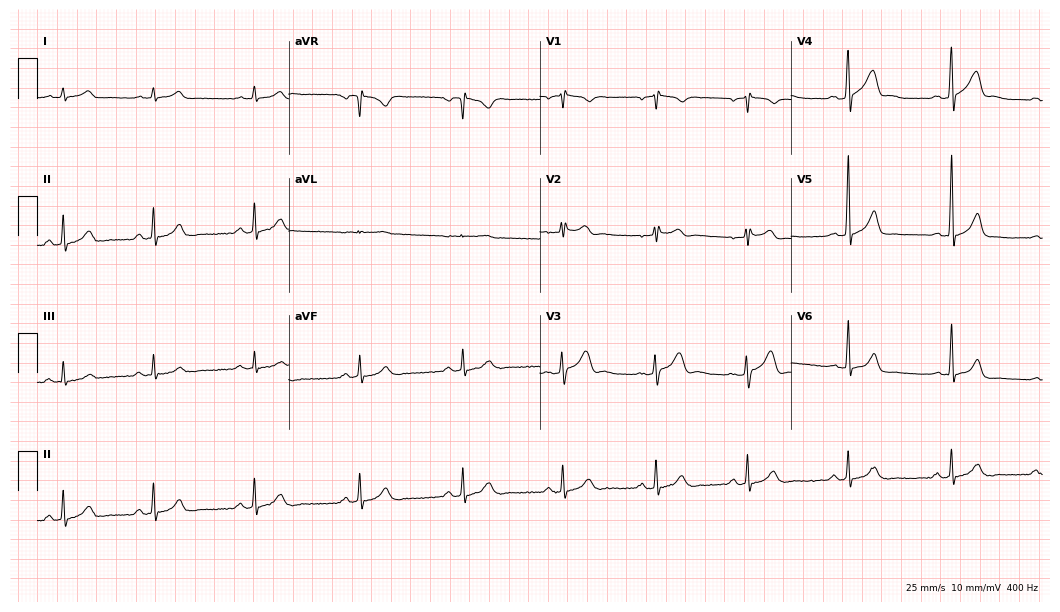
ECG (10.2-second recording at 400 Hz) — a man, 30 years old. Screened for six findings — first-degree AV block, right bundle branch block, left bundle branch block, sinus bradycardia, atrial fibrillation, sinus tachycardia — none is recorded. Only these six findings were labelled.